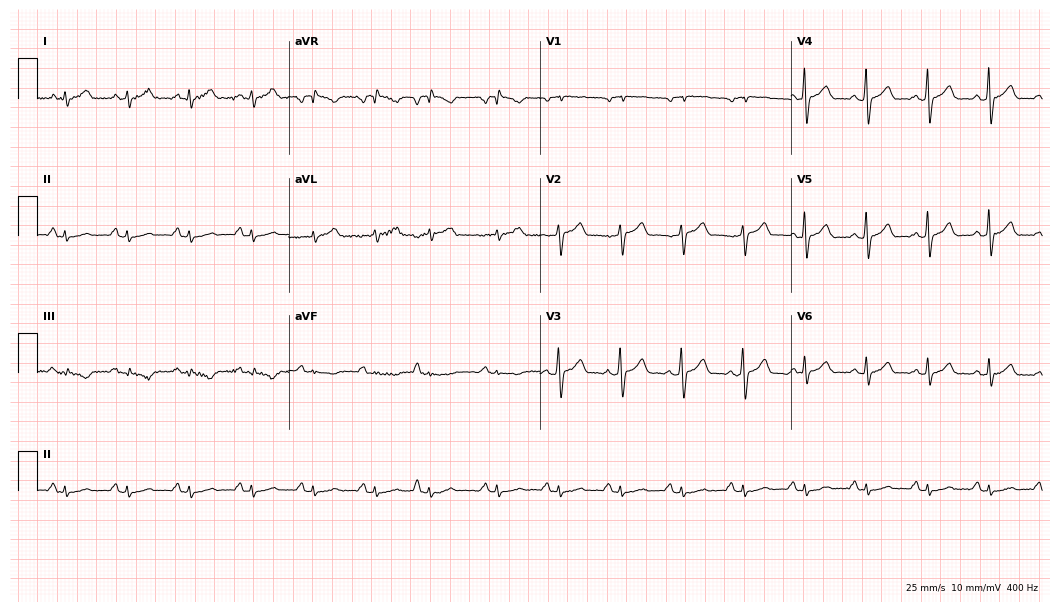
12-lead ECG (10.2-second recording at 400 Hz) from a male patient, 50 years old. Screened for six findings — first-degree AV block, right bundle branch block (RBBB), left bundle branch block (LBBB), sinus bradycardia, atrial fibrillation (AF), sinus tachycardia — none is recorded.